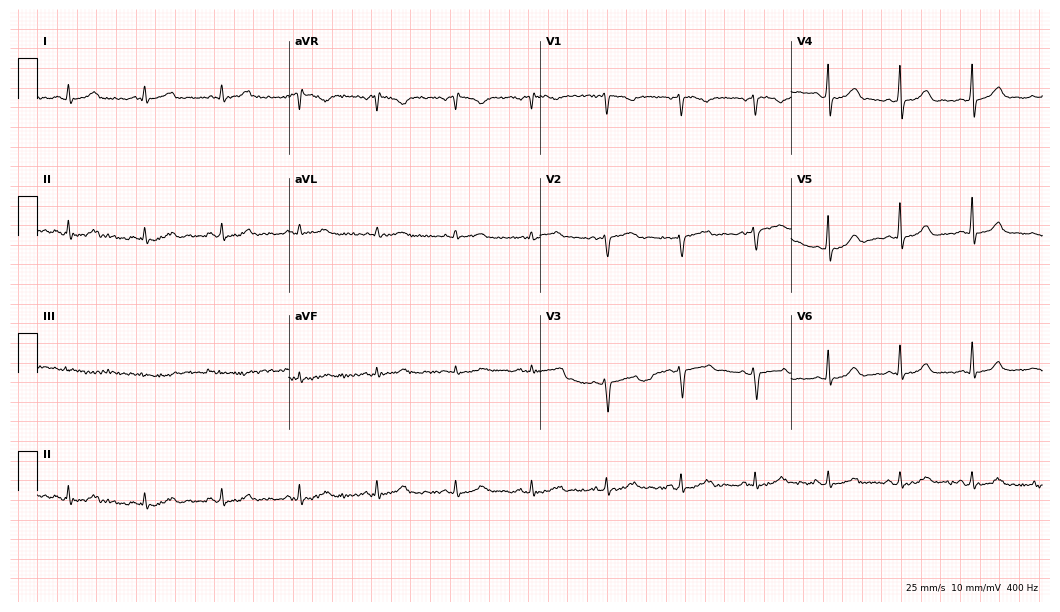
12-lead ECG from a 36-year-old woman. Recorded interpretation: within normal limits.